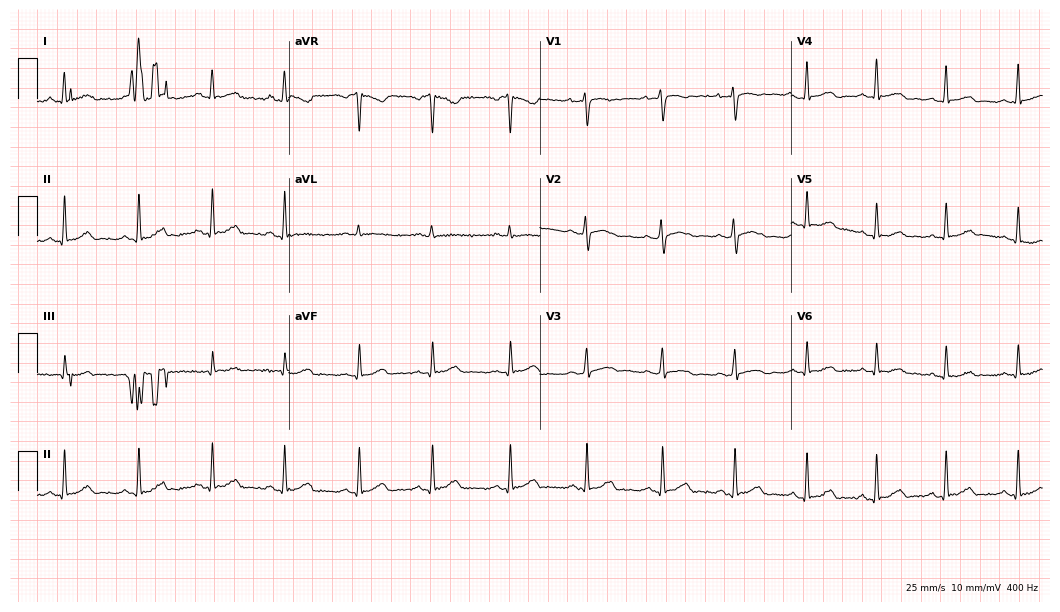
ECG (10.2-second recording at 400 Hz) — a 36-year-old female. Labelled as a normal ECG.